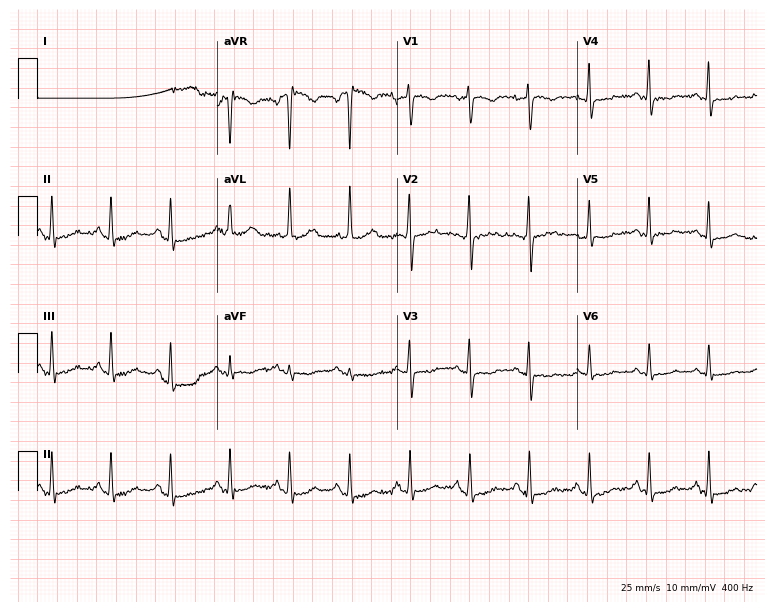
ECG — a female patient, 48 years old. Screened for six findings — first-degree AV block, right bundle branch block (RBBB), left bundle branch block (LBBB), sinus bradycardia, atrial fibrillation (AF), sinus tachycardia — none is recorded.